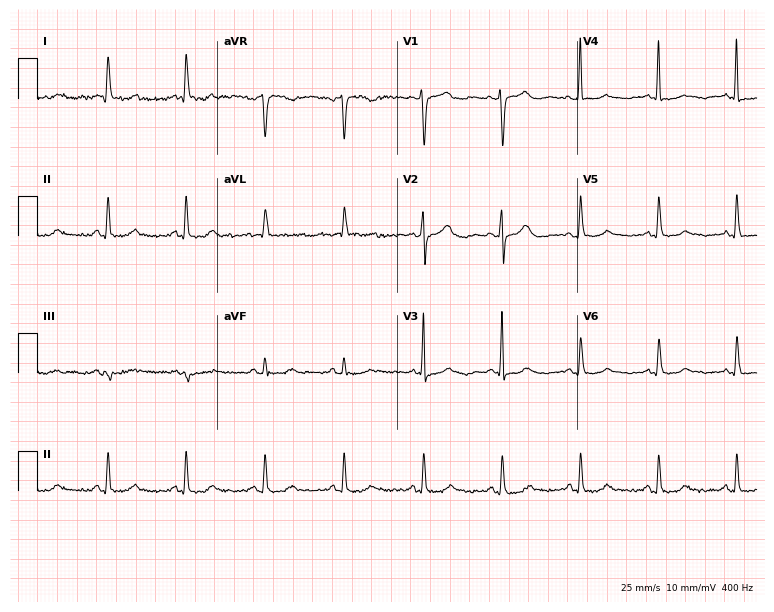
12-lead ECG from a 74-year-old female patient (7.3-second recording at 400 Hz). Recorded interpretation: within normal limits.